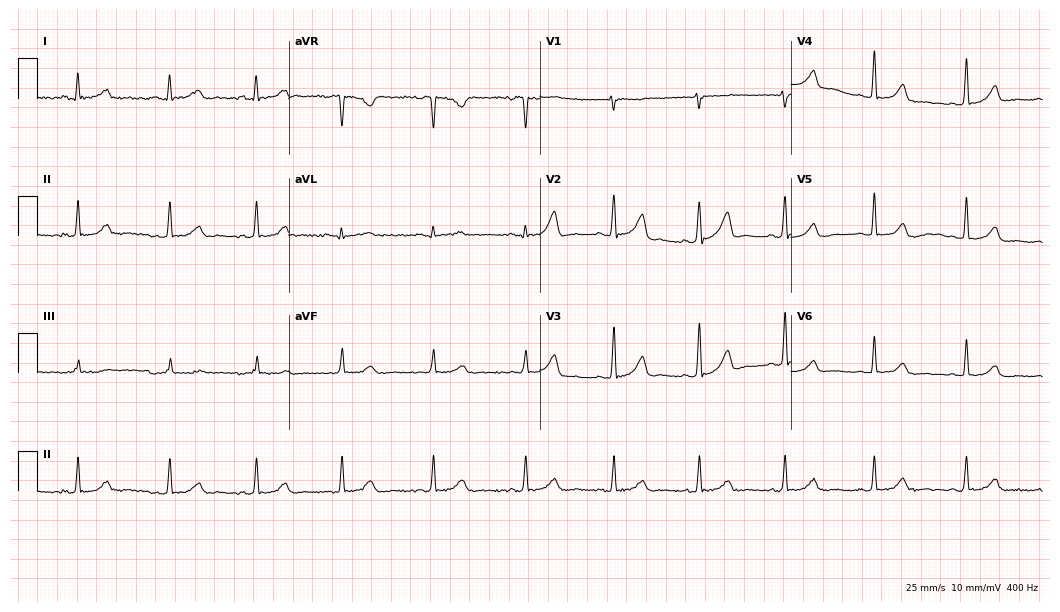
12-lead ECG from a 42-year-old female patient. Labelled as a normal ECG.